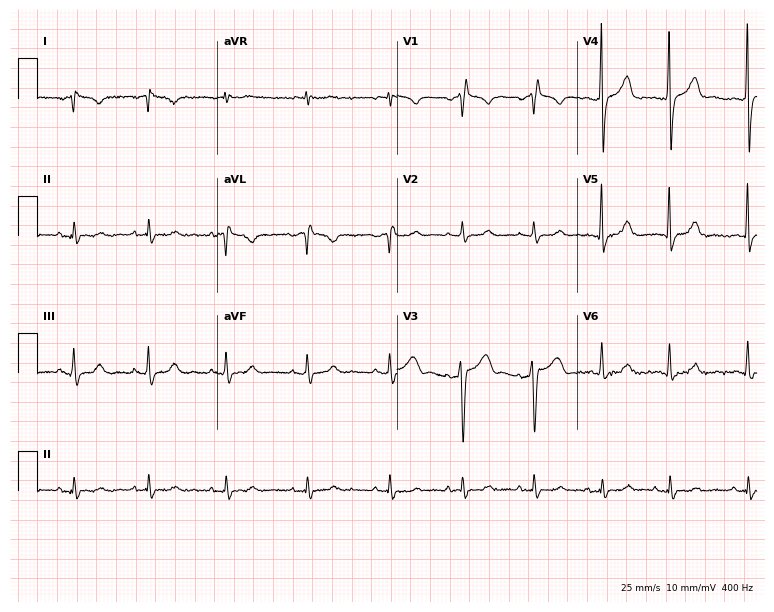
Standard 12-lead ECG recorded from a male, 61 years old. None of these six findings is recorded: first-degree AV block, right bundle branch block (RBBB), left bundle branch block (LBBB), sinus bradycardia, atrial fibrillation (AF), sinus tachycardia.